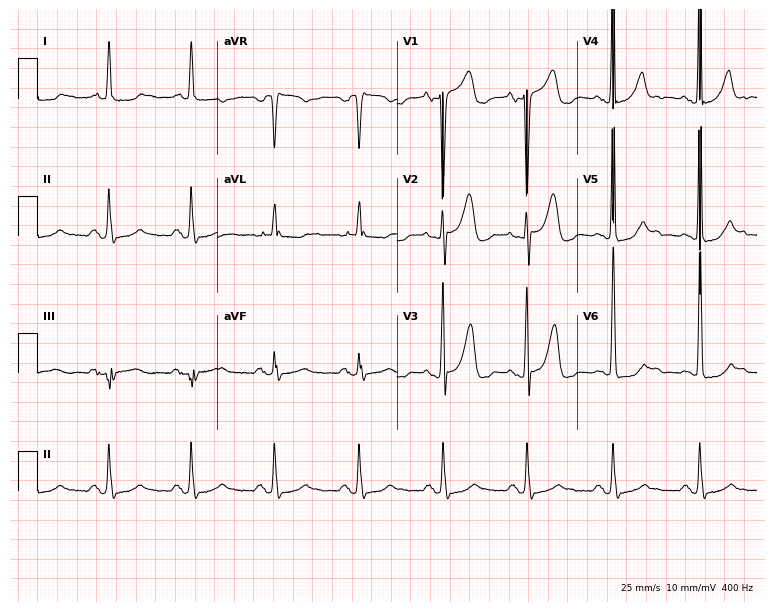
Electrocardiogram, a female, 73 years old. Of the six screened findings (first-degree AV block, right bundle branch block, left bundle branch block, sinus bradycardia, atrial fibrillation, sinus tachycardia), none is recorded. Other findings, if any, are not listed.